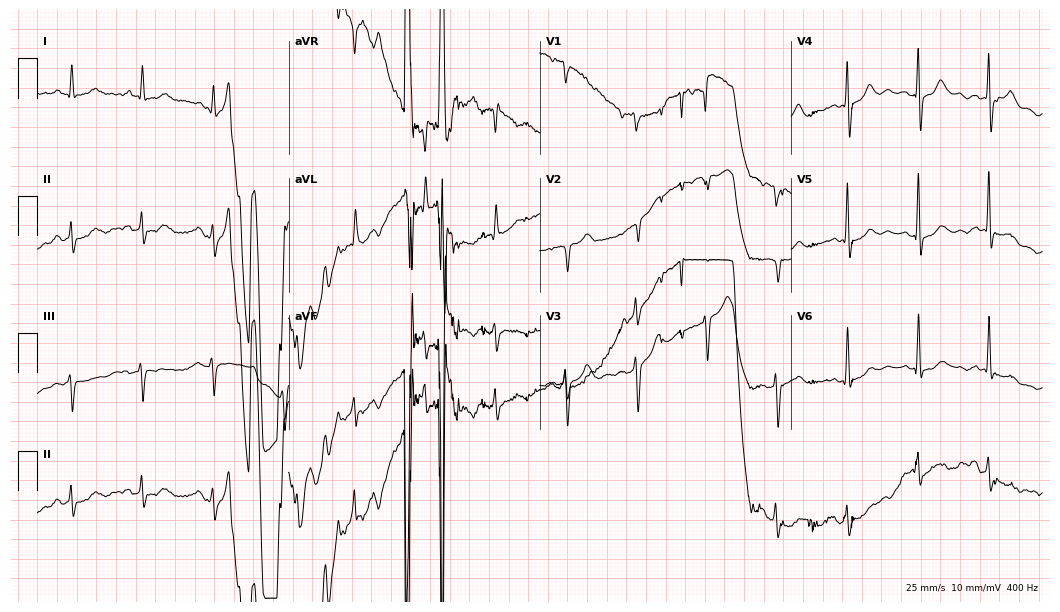
Resting 12-lead electrocardiogram (10.2-second recording at 400 Hz). Patient: a 49-year-old male. None of these six findings is recorded: first-degree AV block, right bundle branch block (RBBB), left bundle branch block (LBBB), sinus bradycardia, atrial fibrillation (AF), sinus tachycardia. Only these six findings were labelled.